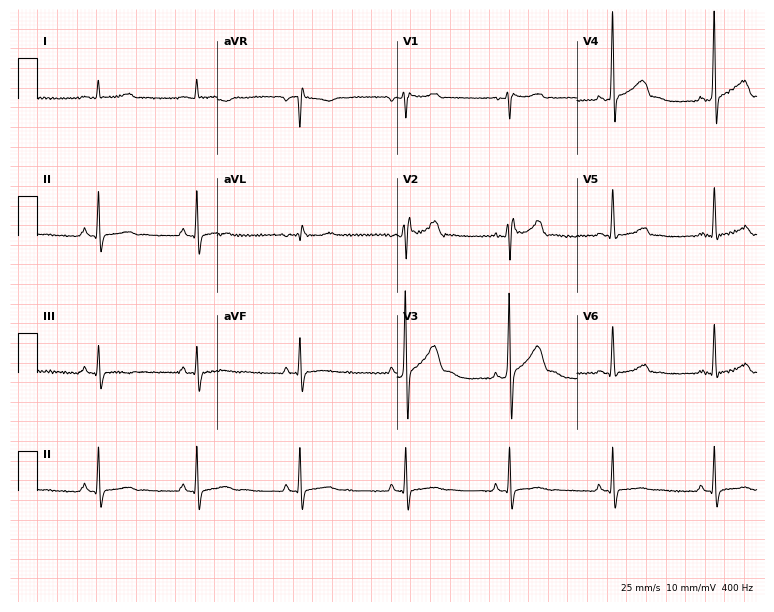
ECG — a 35-year-old male. Screened for six findings — first-degree AV block, right bundle branch block, left bundle branch block, sinus bradycardia, atrial fibrillation, sinus tachycardia — none is recorded.